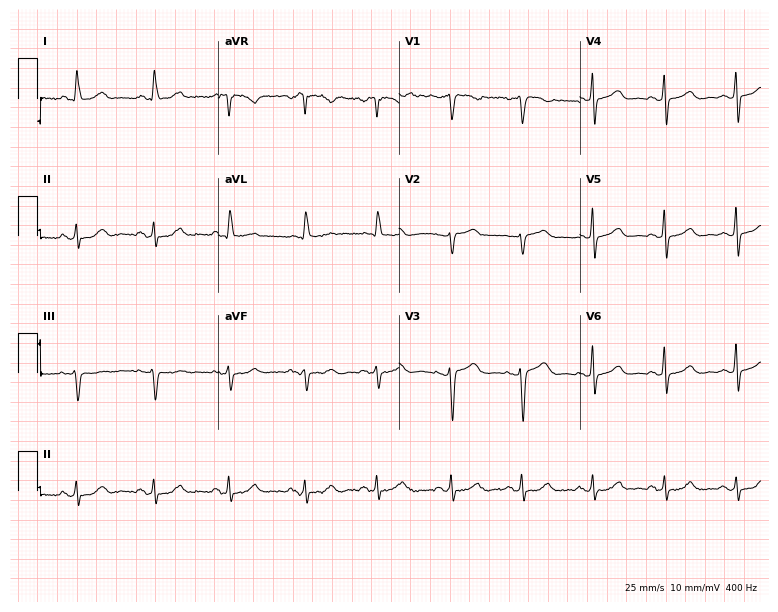
12-lead ECG from a woman, 58 years old. Recorded interpretation: within normal limits.